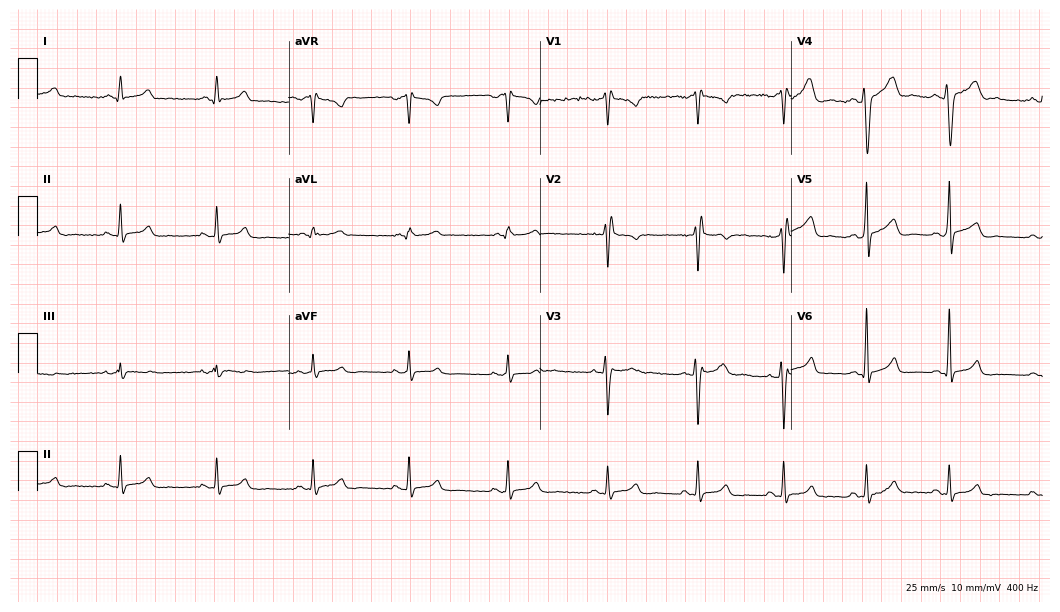
Electrocardiogram (10.2-second recording at 400 Hz), a 23-year-old male patient. Of the six screened findings (first-degree AV block, right bundle branch block (RBBB), left bundle branch block (LBBB), sinus bradycardia, atrial fibrillation (AF), sinus tachycardia), none is recorded.